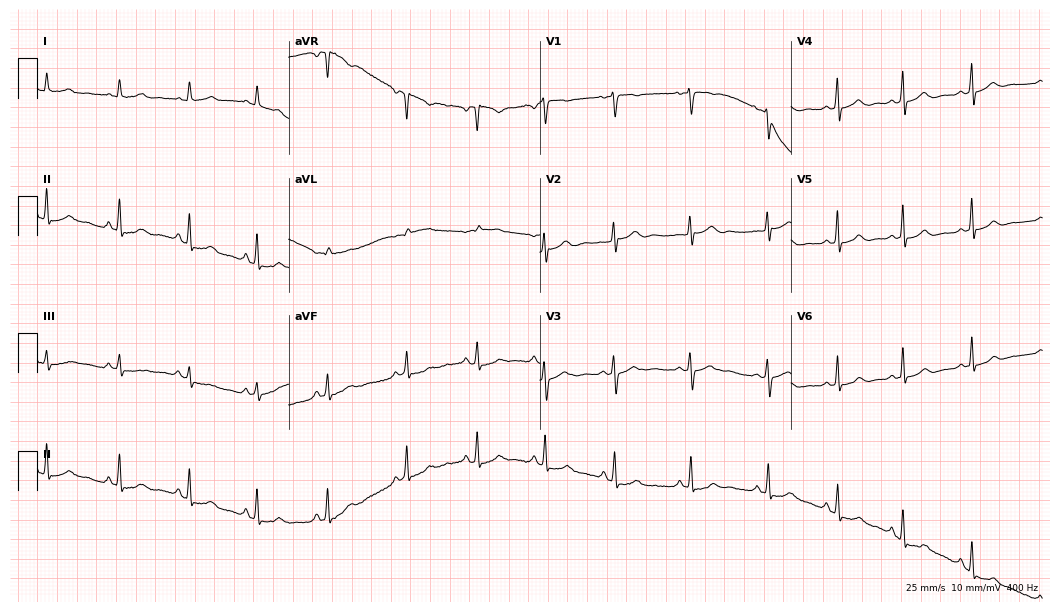
12-lead ECG from a female patient, 25 years old. Labelled as a normal ECG.